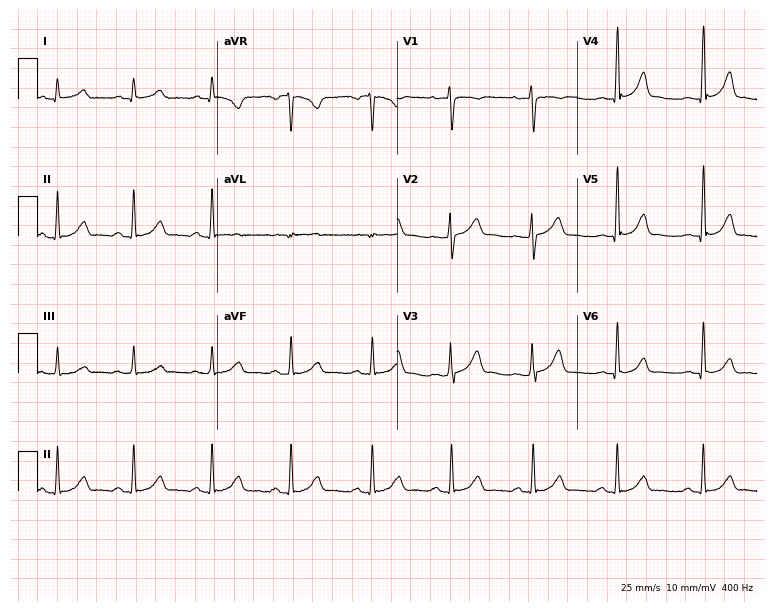
Resting 12-lead electrocardiogram. Patient: a 35-year-old male. None of these six findings is recorded: first-degree AV block, right bundle branch block (RBBB), left bundle branch block (LBBB), sinus bradycardia, atrial fibrillation (AF), sinus tachycardia.